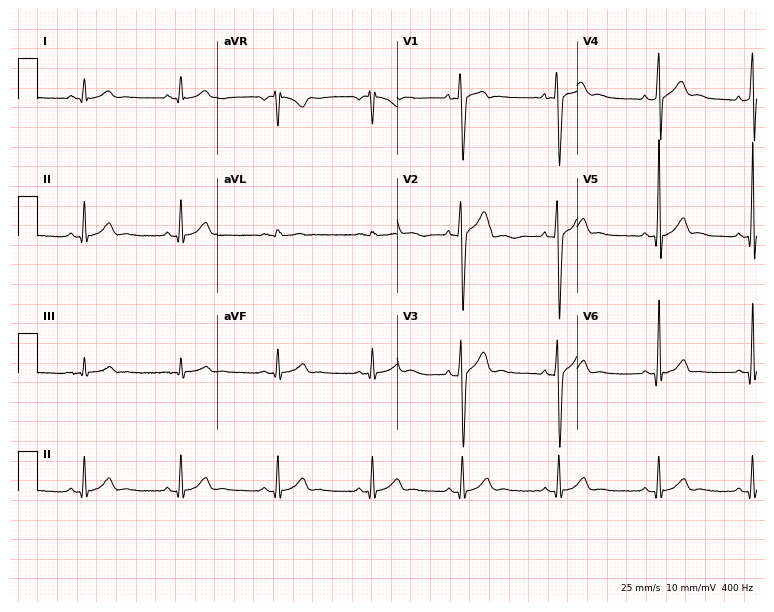
Standard 12-lead ECG recorded from a male, 20 years old. Read as a normal ECG.